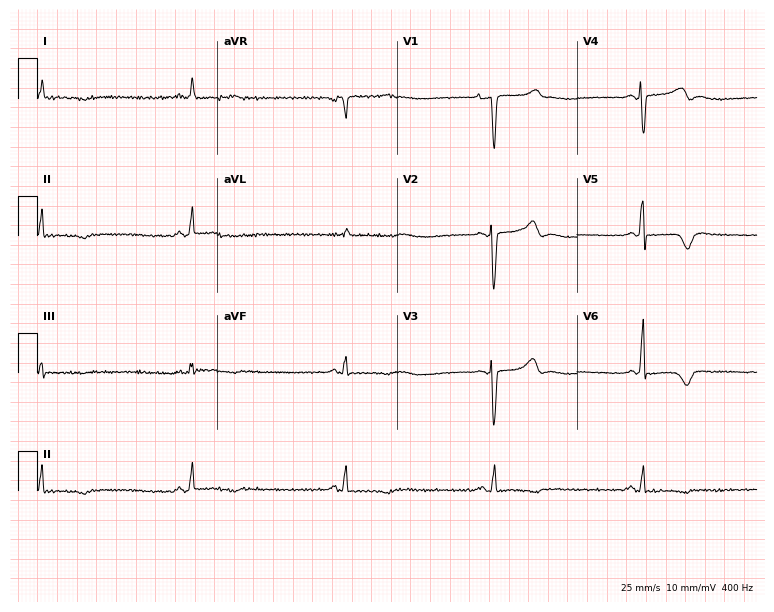
ECG — a 53-year-old female patient. Screened for six findings — first-degree AV block, right bundle branch block (RBBB), left bundle branch block (LBBB), sinus bradycardia, atrial fibrillation (AF), sinus tachycardia — none is recorded.